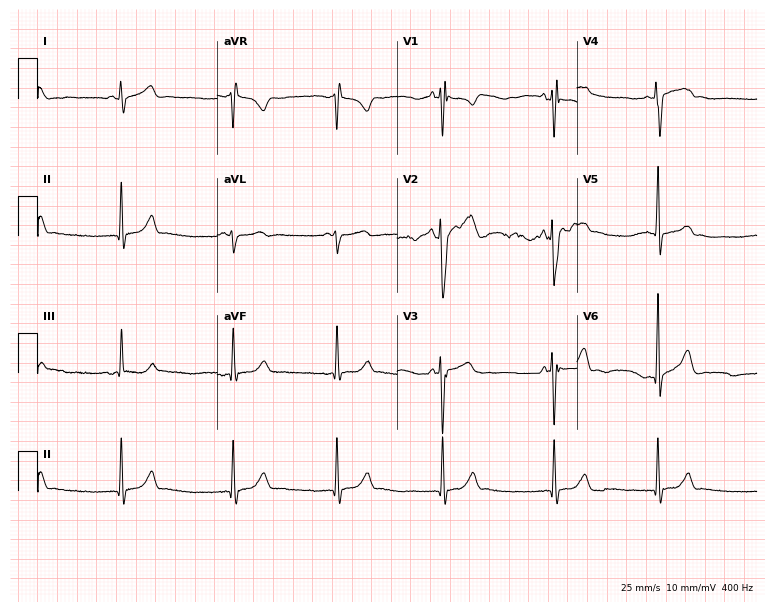
Standard 12-lead ECG recorded from an 18-year-old male. None of these six findings is recorded: first-degree AV block, right bundle branch block, left bundle branch block, sinus bradycardia, atrial fibrillation, sinus tachycardia.